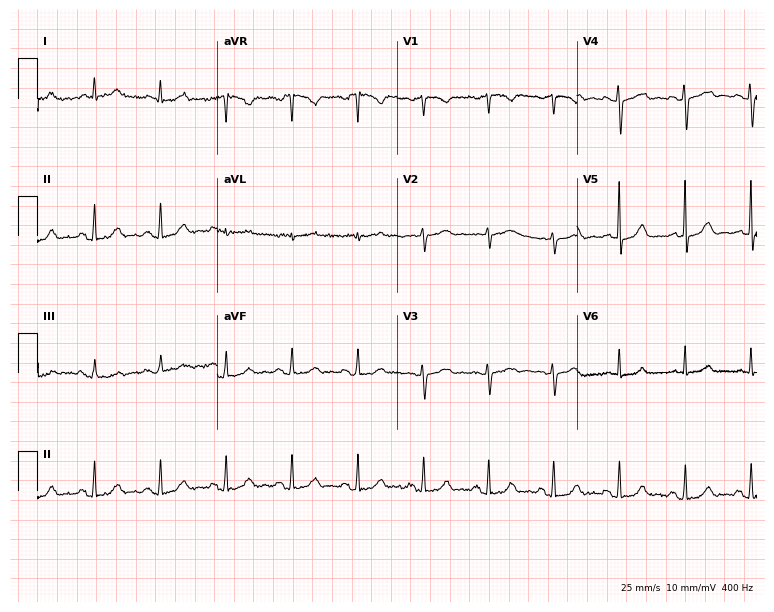
12-lead ECG (7.3-second recording at 400 Hz) from a female patient, 77 years old. Labelled as a normal ECG.